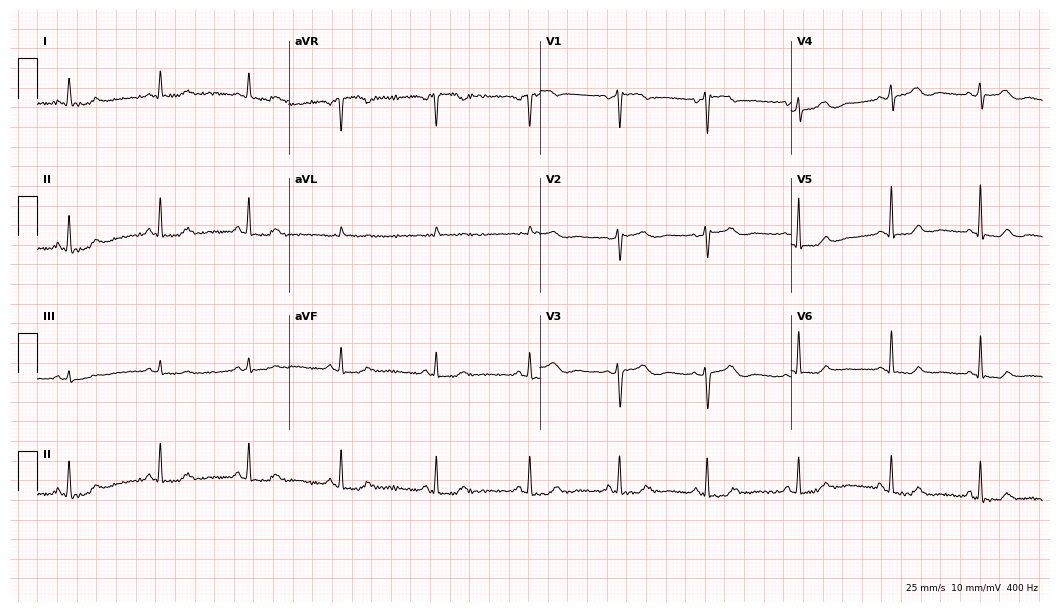
Resting 12-lead electrocardiogram. Patient: a female, 54 years old. Read as a normal ECG.